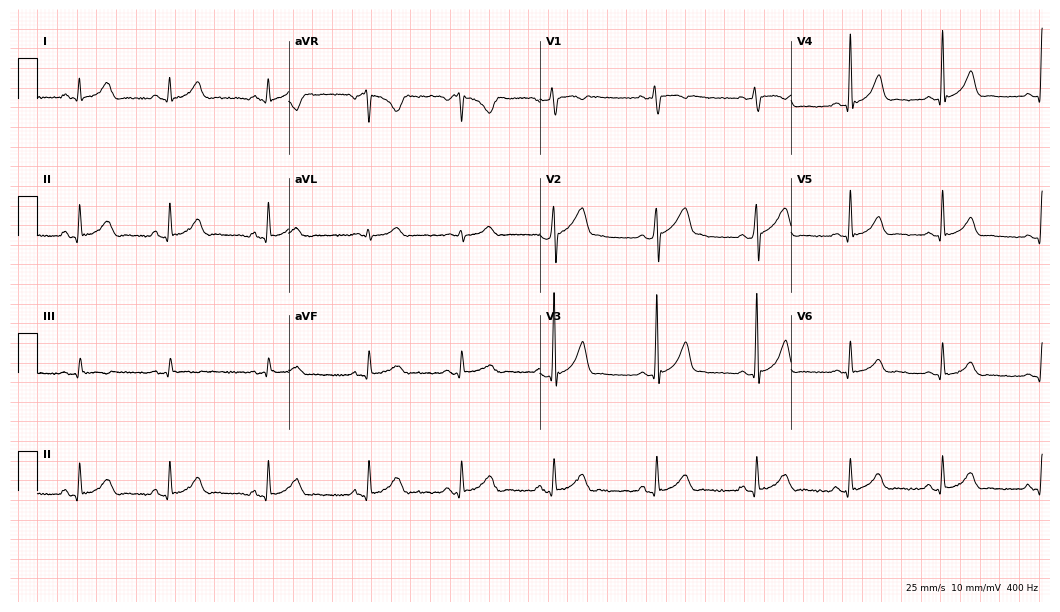
Electrocardiogram (10.2-second recording at 400 Hz), a 21-year-old male patient. Of the six screened findings (first-degree AV block, right bundle branch block, left bundle branch block, sinus bradycardia, atrial fibrillation, sinus tachycardia), none is recorded.